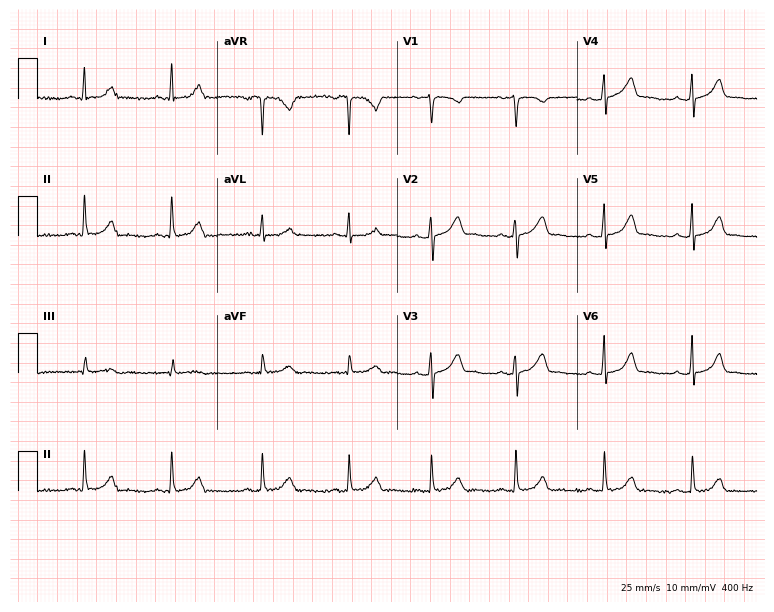
12-lead ECG from a 34-year-old female patient. Recorded interpretation: within normal limits.